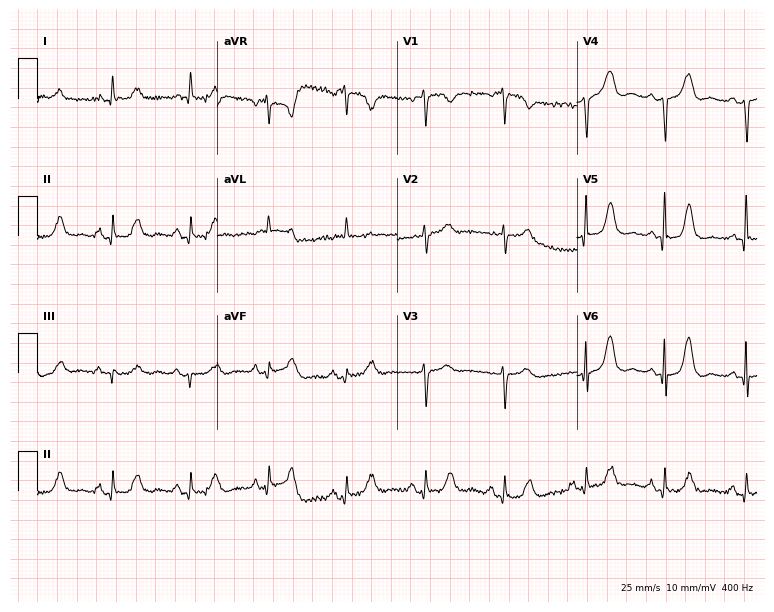
Standard 12-lead ECG recorded from a female patient, 71 years old (7.3-second recording at 400 Hz). None of these six findings is recorded: first-degree AV block, right bundle branch block (RBBB), left bundle branch block (LBBB), sinus bradycardia, atrial fibrillation (AF), sinus tachycardia. Findings outside these six are not listed.